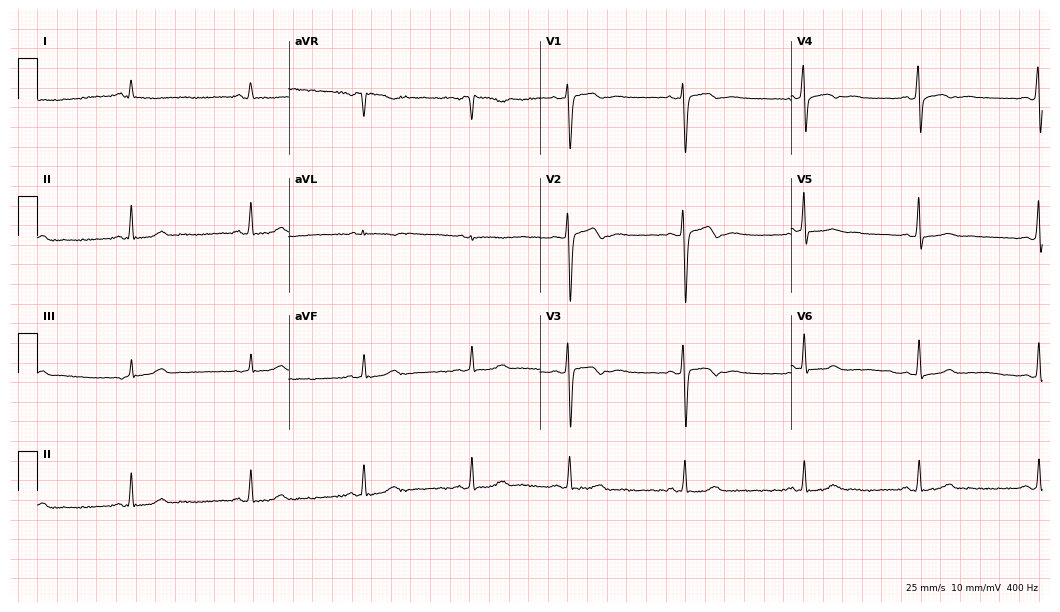
Resting 12-lead electrocardiogram. Patient: a female, 22 years old. Read as a normal ECG.